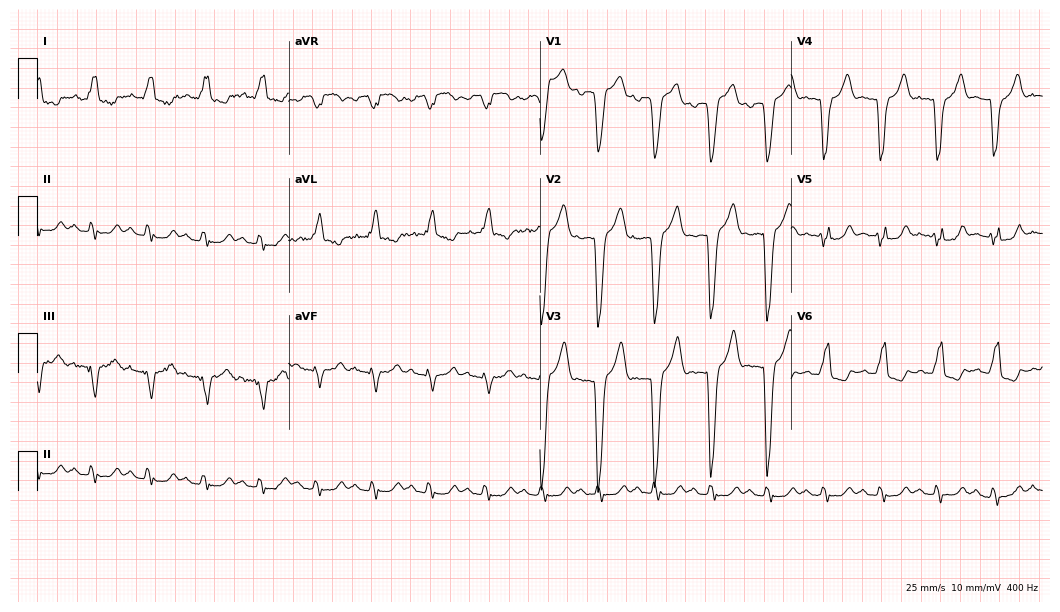
Standard 12-lead ECG recorded from a 78-year-old man. The tracing shows left bundle branch block.